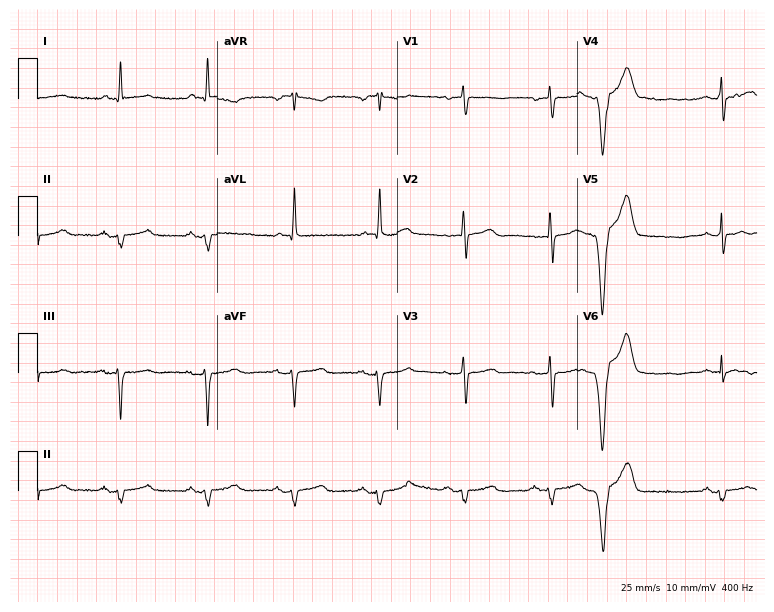
Resting 12-lead electrocardiogram. Patient: a female, 73 years old. None of these six findings is recorded: first-degree AV block, right bundle branch block (RBBB), left bundle branch block (LBBB), sinus bradycardia, atrial fibrillation (AF), sinus tachycardia.